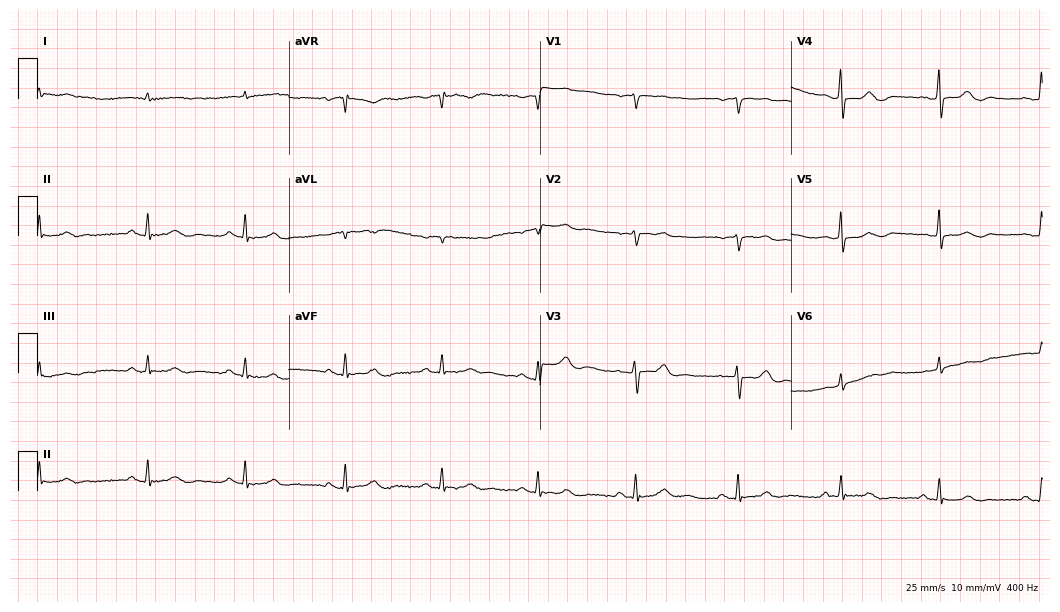
ECG — a male patient, 81 years old. Screened for six findings — first-degree AV block, right bundle branch block (RBBB), left bundle branch block (LBBB), sinus bradycardia, atrial fibrillation (AF), sinus tachycardia — none is recorded. Other findings, if any, are not listed.